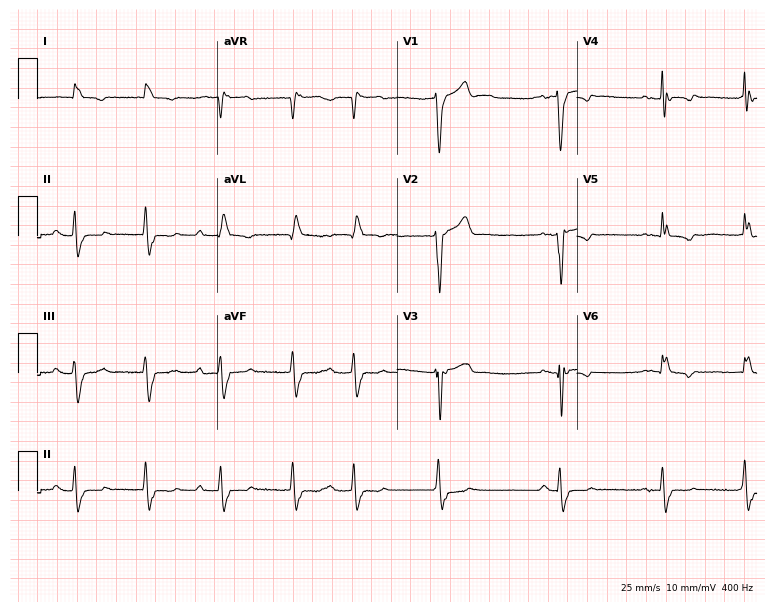
Standard 12-lead ECG recorded from an 83-year-old male (7.3-second recording at 400 Hz). The tracing shows atrial fibrillation.